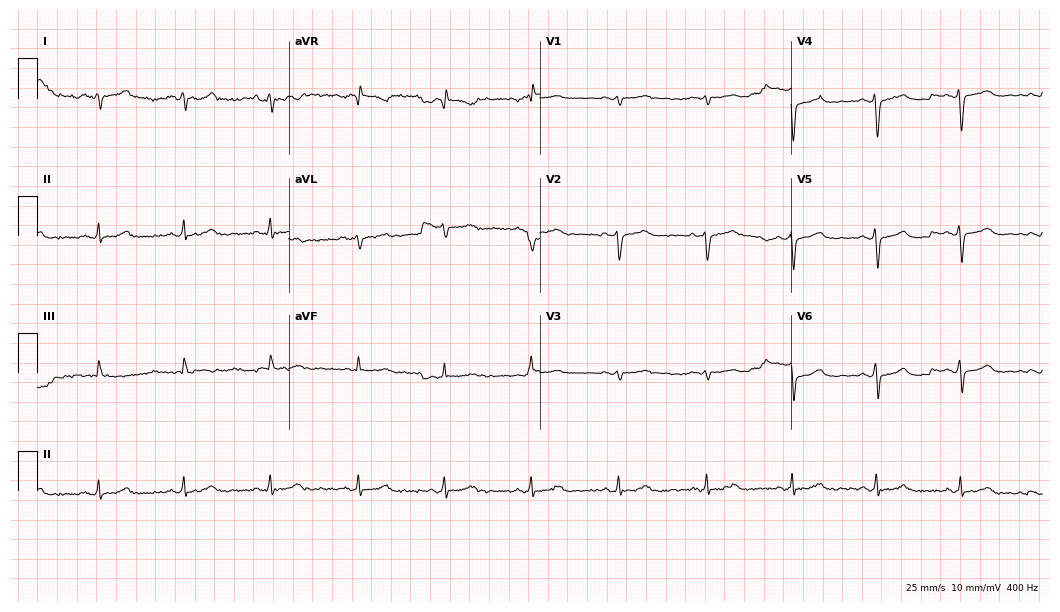
12-lead ECG from a woman, 48 years old. Screened for six findings — first-degree AV block, right bundle branch block, left bundle branch block, sinus bradycardia, atrial fibrillation, sinus tachycardia — none is recorded. Other findings, if any, are not listed.